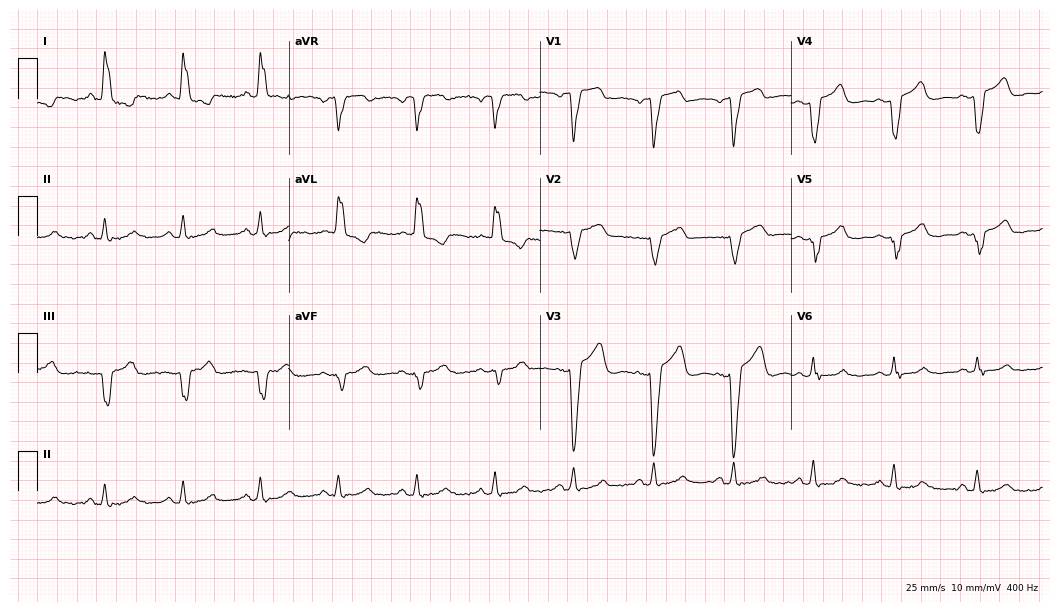
Resting 12-lead electrocardiogram. Patient: a female, 61 years old. The tracing shows left bundle branch block.